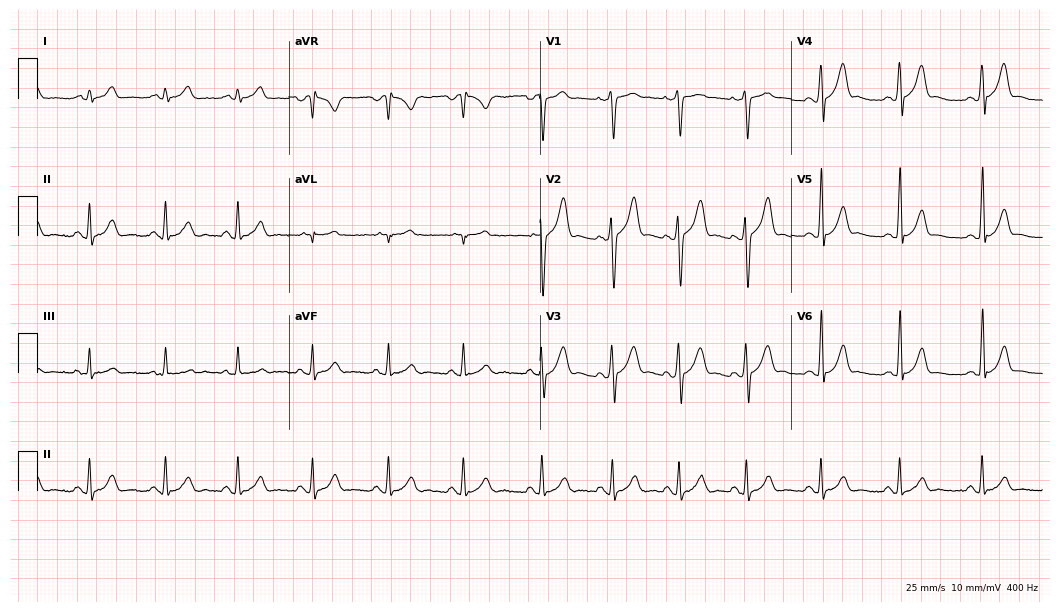
12-lead ECG from a 21-year-old male. Screened for six findings — first-degree AV block, right bundle branch block (RBBB), left bundle branch block (LBBB), sinus bradycardia, atrial fibrillation (AF), sinus tachycardia — none is recorded. Only these six findings were labelled.